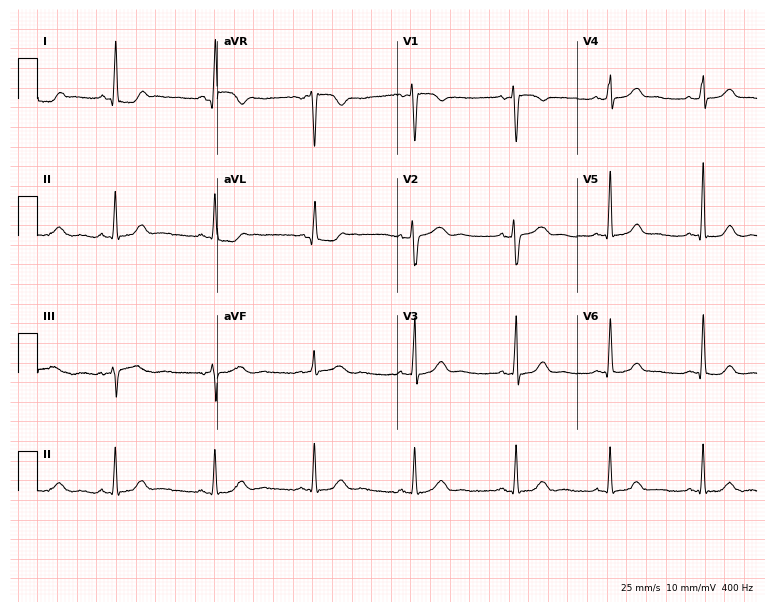
12-lead ECG from a female, 39 years old. No first-degree AV block, right bundle branch block, left bundle branch block, sinus bradycardia, atrial fibrillation or sinus tachycardia recorded for this tracing.